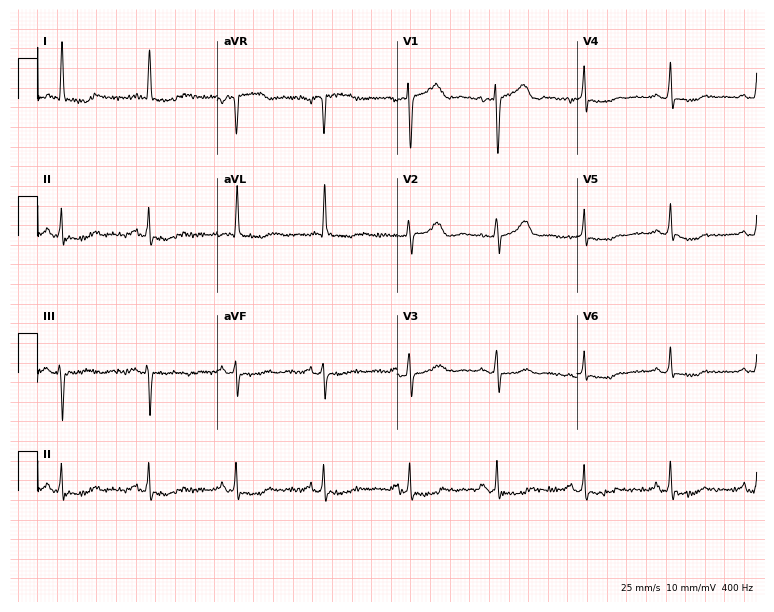
12-lead ECG from a female patient, 60 years old. Labelled as a normal ECG.